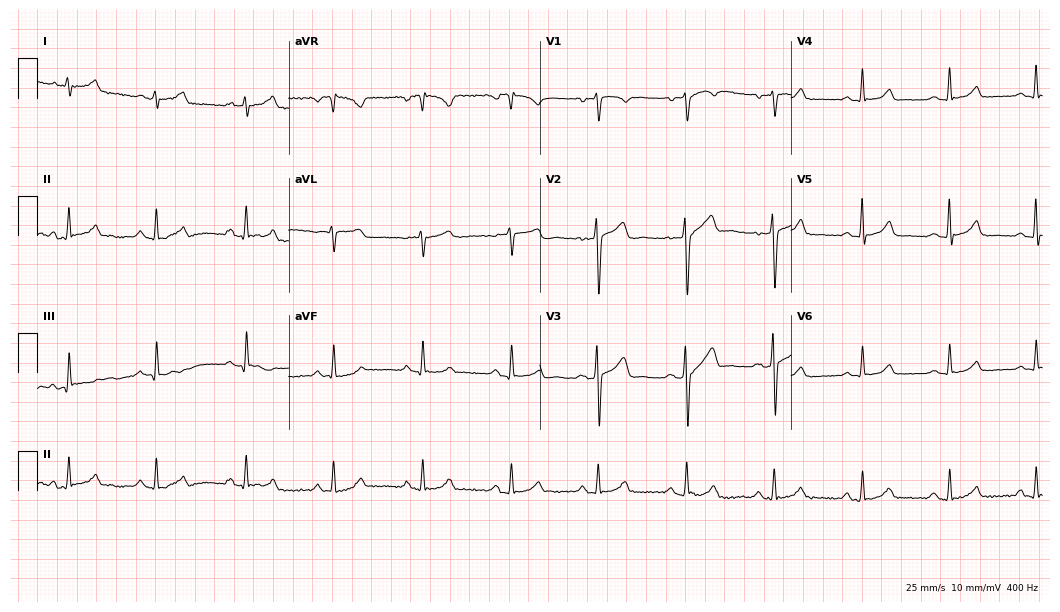
Resting 12-lead electrocardiogram (10.2-second recording at 400 Hz). Patient: a 42-year-old male. Read as a normal ECG.